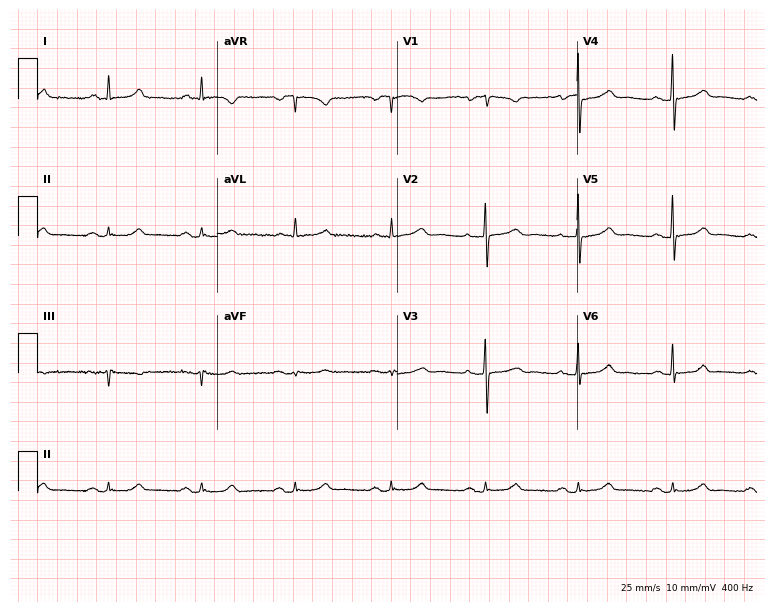
Resting 12-lead electrocardiogram. Patient: a female, 66 years old. None of these six findings is recorded: first-degree AV block, right bundle branch block, left bundle branch block, sinus bradycardia, atrial fibrillation, sinus tachycardia. Other findings, if any, are not listed.